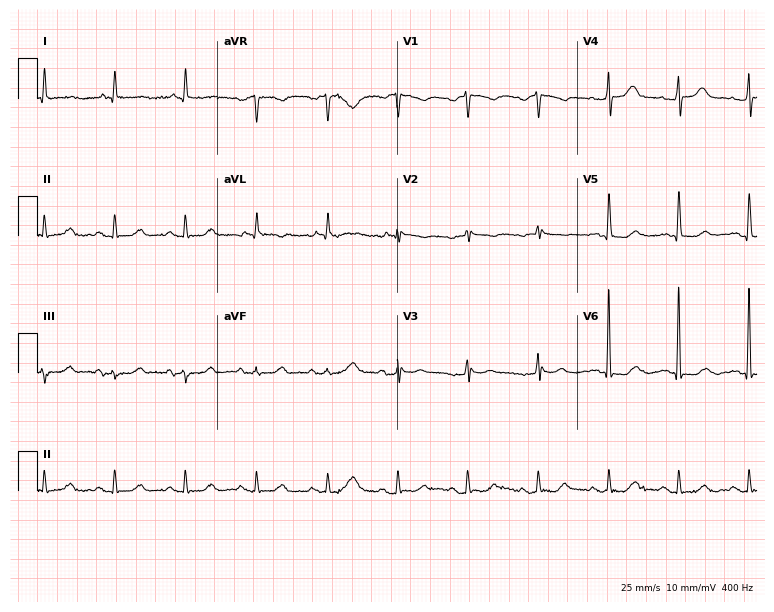
Electrocardiogram, a 77-year-old female patient. Of the six screened findings (first-degree AV block, right bundle branch block, left bundle branch block, sinus bradycardia, atrial fibrillation, sinus tachycardia), none is recorded.